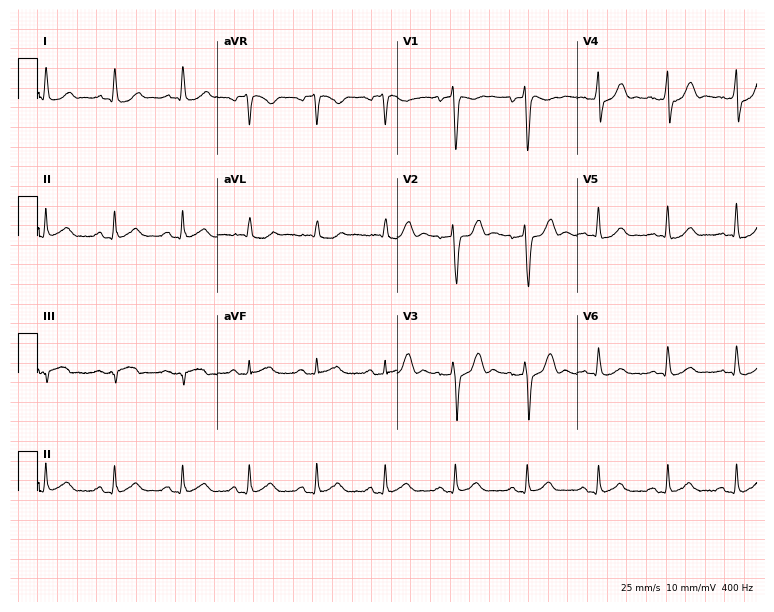
ECG (7.3-second recording at 400 Hz) — a male, 56 years old. Labelled as a normal ECG.